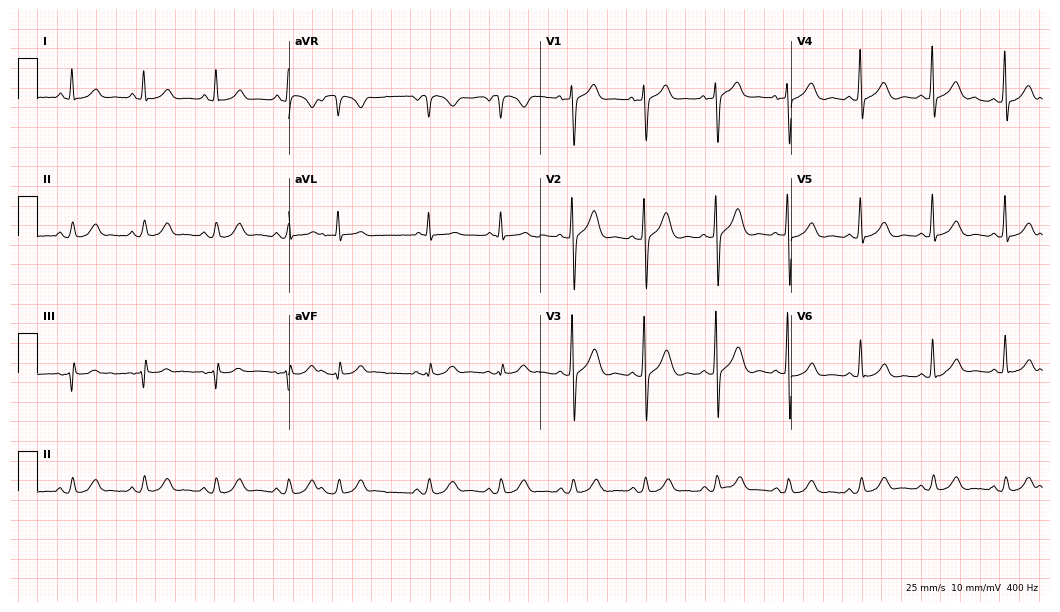
Resting 12-lead electrocardiogram. Patient: a male, 80 years old. None of these six findings is recorded: first-degree AV block, right bundle branch block, left bundle branch block, sinus bradycardia, atrial fibrillation, sinus tachycardia.